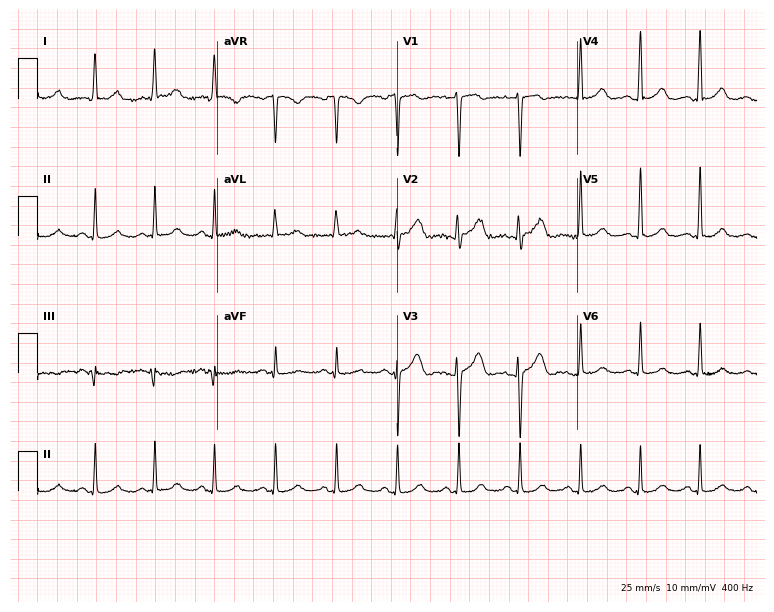
12-lead ECG from a woman, 54 years old (7.3-second recording at 400 Hz). Recorded interpretation: within normal limits.